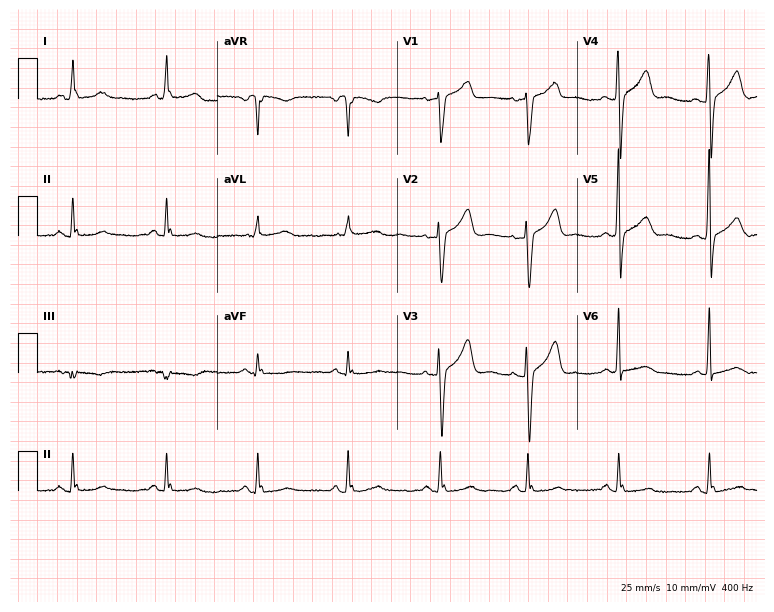
Resting 12-lead electrocardiogram (7.3-second recording at 400 Hz). Patient: a 59-year-old woman. Read as a normal ECG.